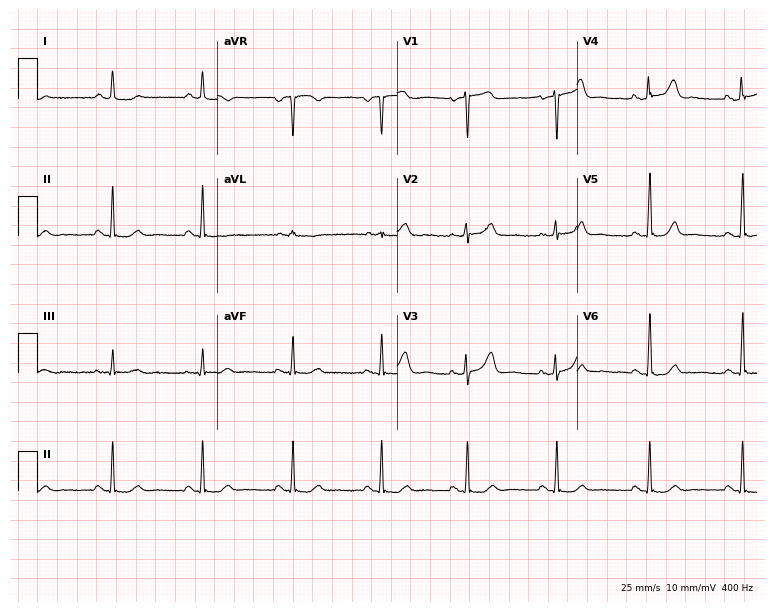
Standard 12-lead ECG recorded from a female patient, 43 years old. None of these six findings is recorded: first-degree AV block, right bundle branch block (RBBB), left bundle branch block (LBBB), sinus bradycardia, atrial fibrillation (AF), sinus tachycardia.